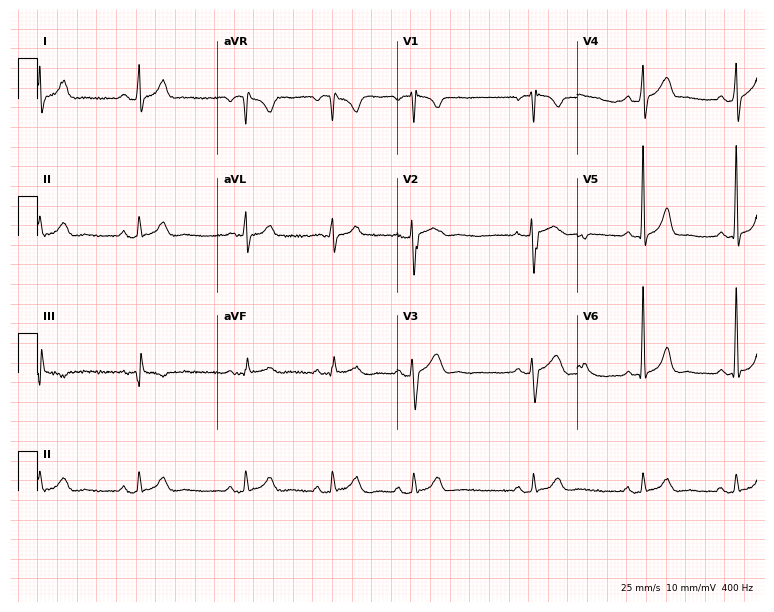
Resting 12-lead electrocardiogram. Patient: a male, 31 years old. Read as a normal ECG.